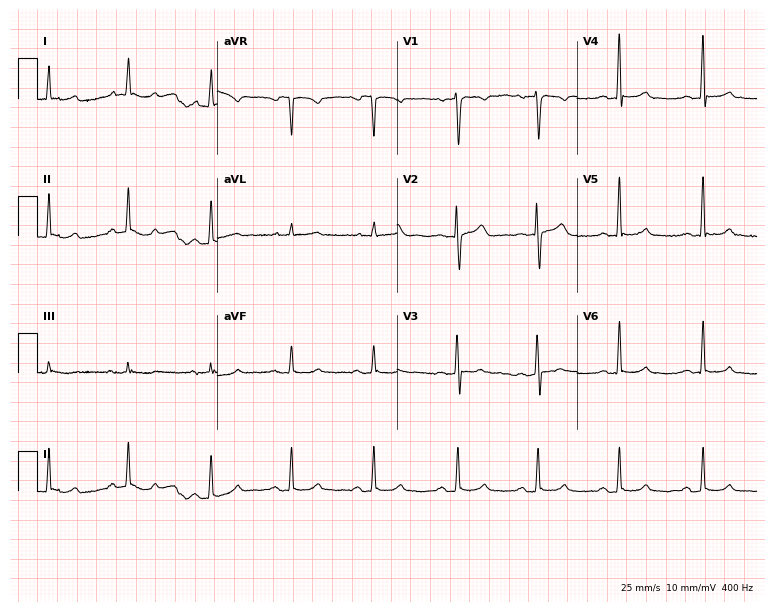
Resting 12-lead electrocardiogram. Patient: a female, 39 years old. None of these six findings is recorded: first-degree AV block, right bundle branch block, left bundle branch block, sinus bradycardia, atrial fibrillation, sinus tachycardia. Other findings, if any, are not listed.